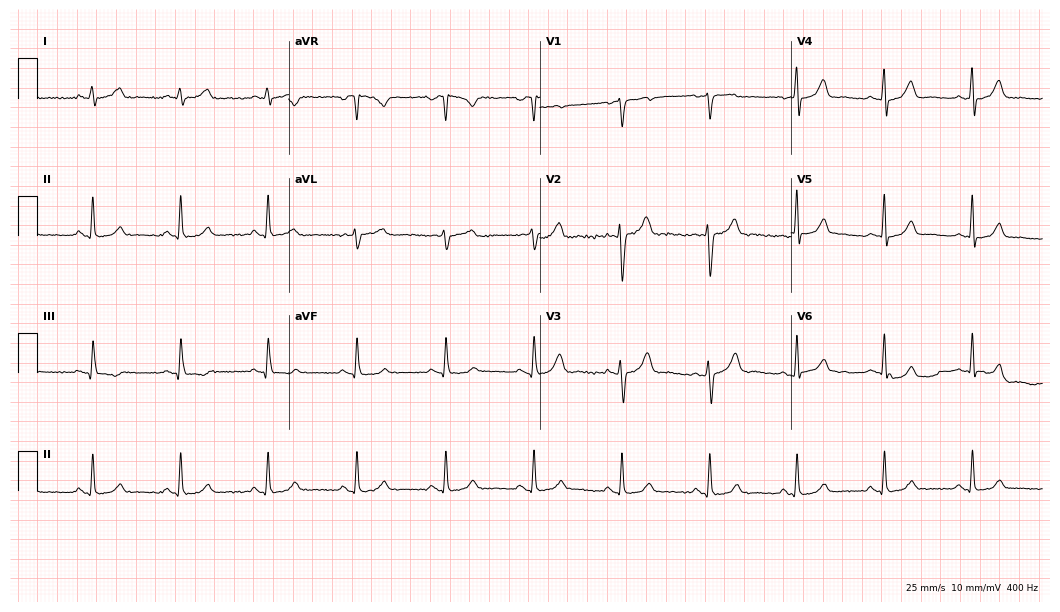
Resting 12-lead electrocardiogram (10.2-second recording at 400 Hz). Patient: a 54-year-old male. Read as a normal ECG.